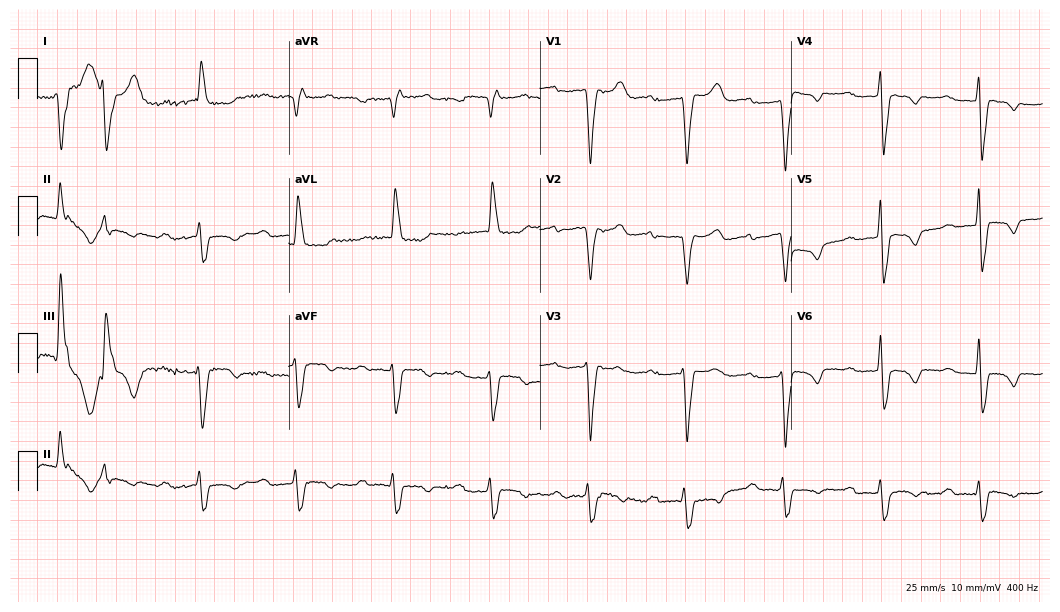
Resting 12-lead electrocardiogram. Patient: an 84-year-old female. The tracing shows first-degree AV block, left bundle branch block.